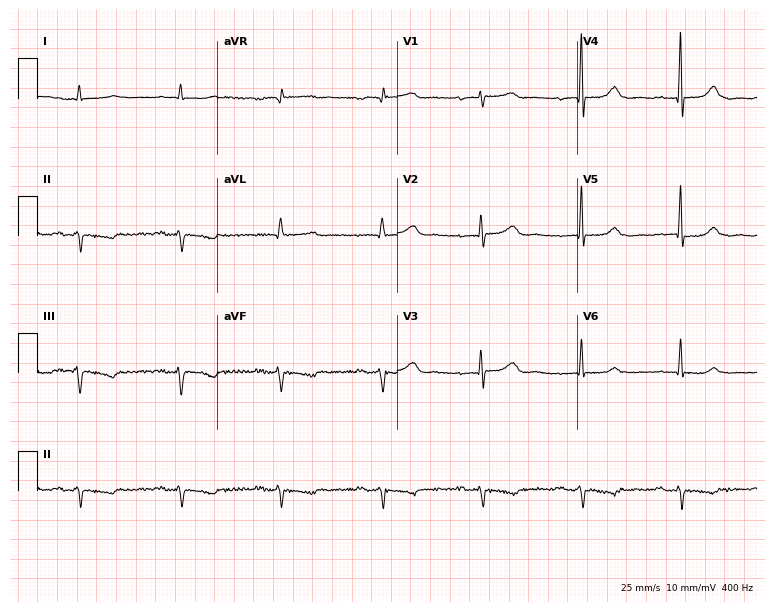
Resting 12-lead electrocardiogram (7.3-second recording at 400 Hz). Patient: a male, 81 years old. None of these six findings is recorded: first-degree AV block, right bundle branch block, left bundle branch block, sinus bradycardia, atrial fibrillation, sinus tachycardia. Only these six findings were labelled.